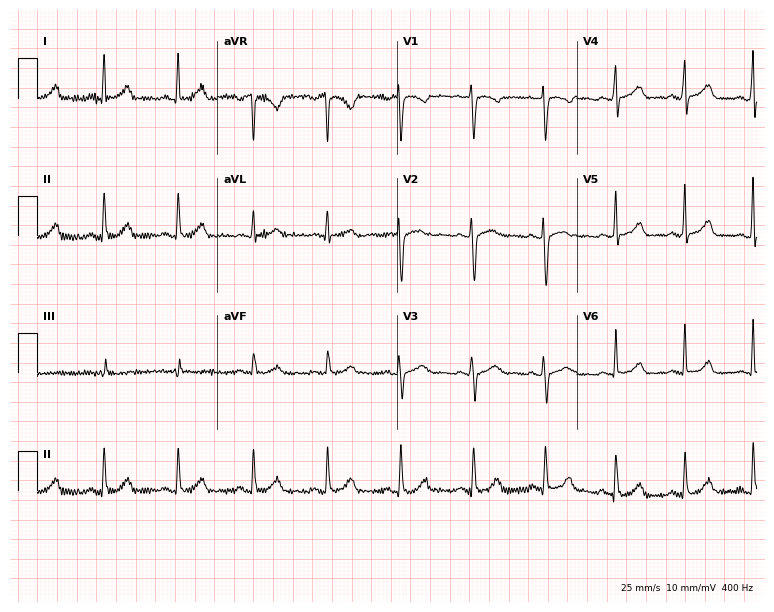
12-lead ECG from a 46-year-old woman. Labelled as a normal ECG.